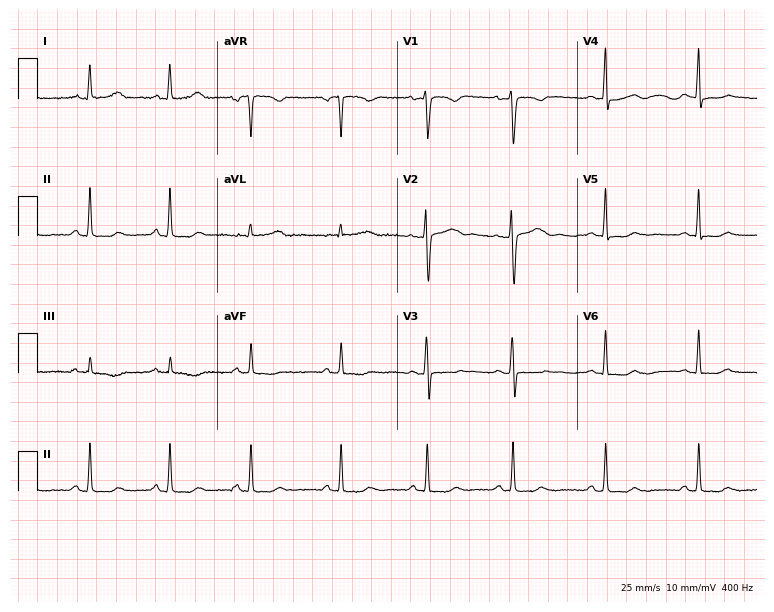
ECG — a female, 29 years old. Screened for six findings — first-degree AV block, right bundle branch block, left bundle branch block, sinus bradycardia, atrial fibrillation, sinus tachycardia — none is recorded.